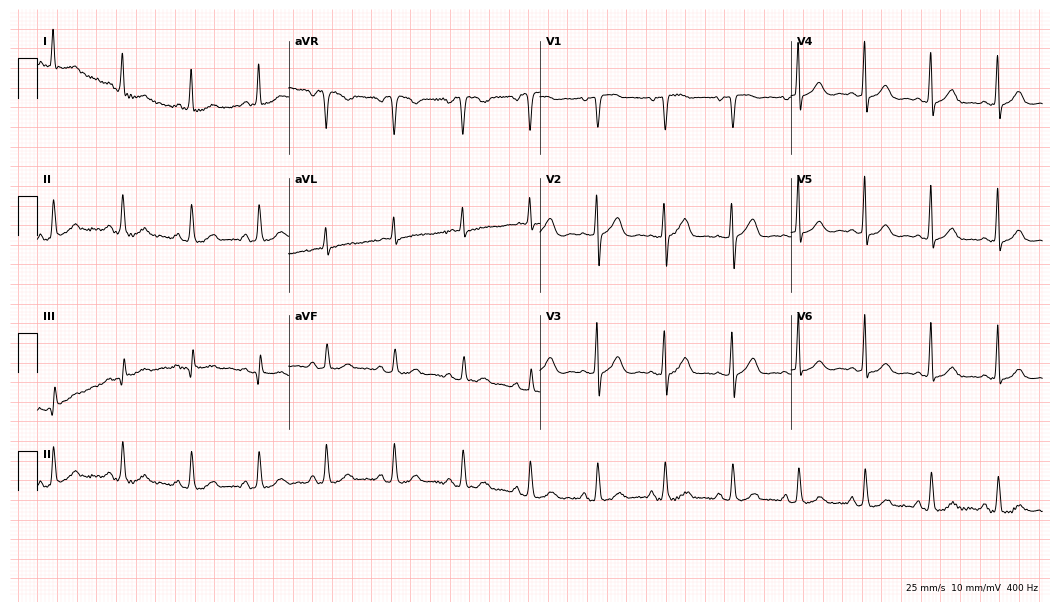
Electrocardiogram, a female patient, 71 years old. Overall reading on record: normal ECG.